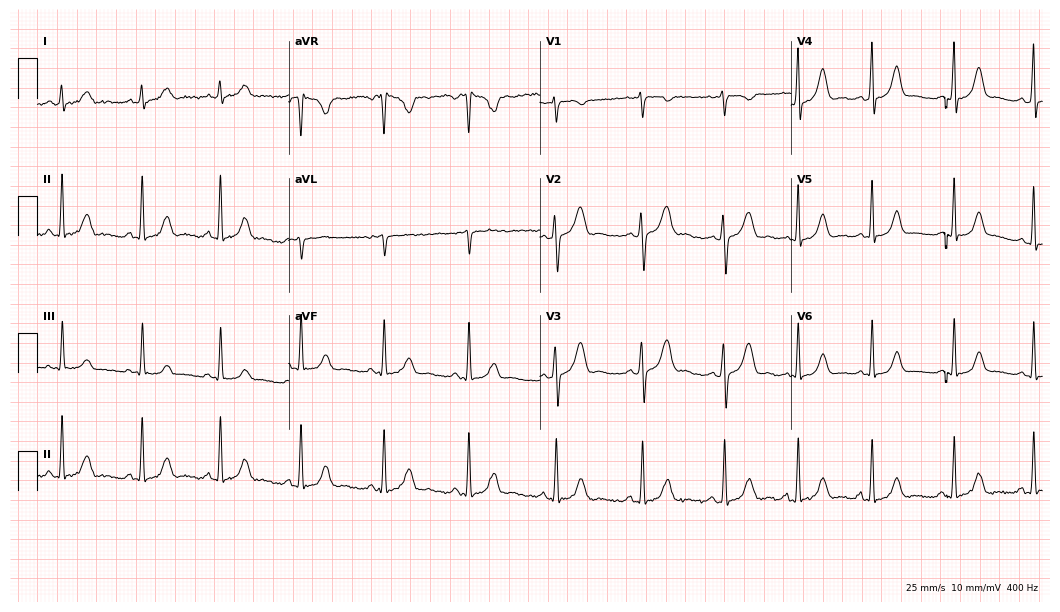
Electrocardiogram (10.2-second recording at 400 Hz), a woman, 19 years old. Of the six screened findings (first-degree AV block, right bundle branch block (RBBB), left bundle branch block (LBBB), sinus bradycardia, atrial fibrillation (AF), sinus tachycardia), none is recorded.